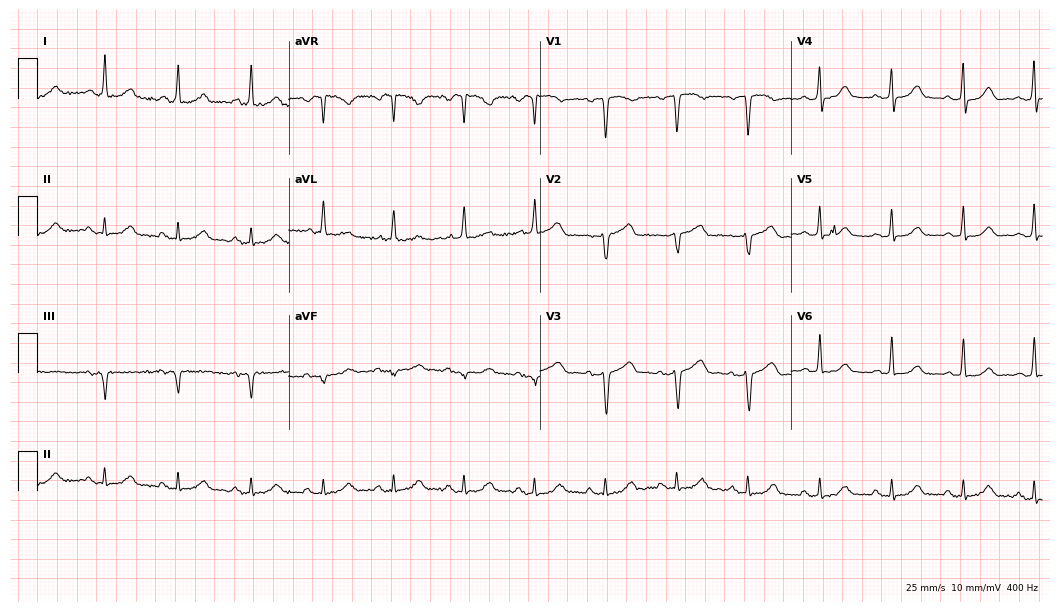
Standard 12-lead ECG recorded from a female patient, 63 years old (10.2-second recording at 400 Hz). Read as a normal ECG.